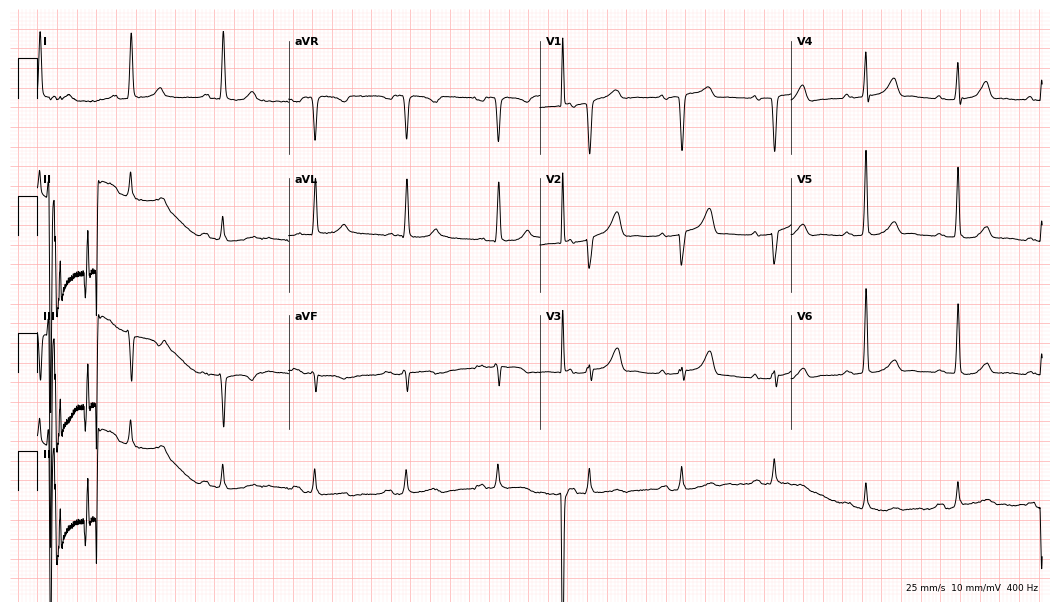
Resting 12-lead electrocardiogram (10.2-second recording at 400 Hz). Patient: a male, 72 years old. Read as a normal ECG.